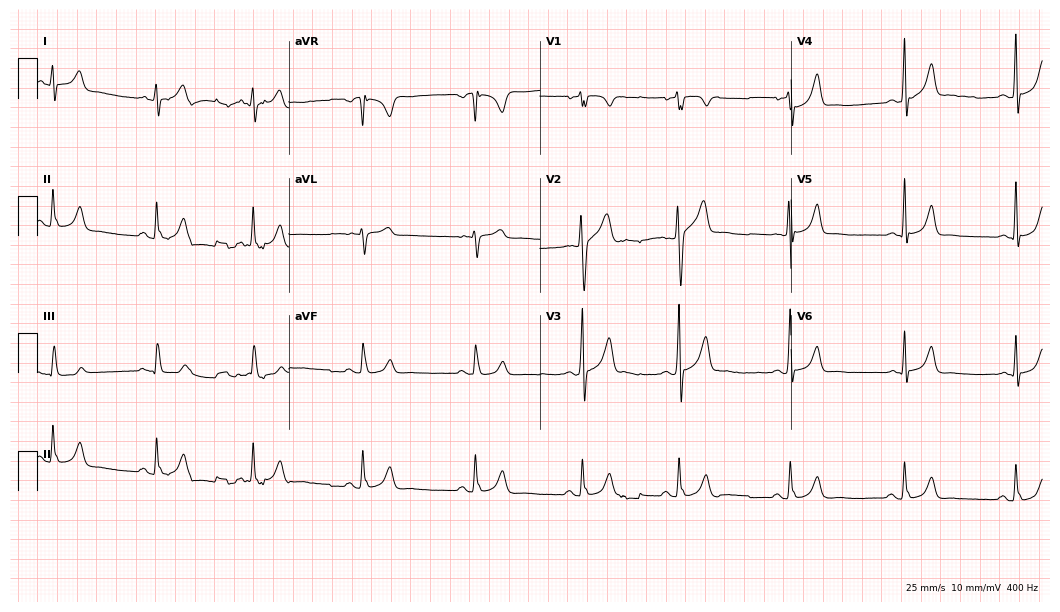
ECG — a 24-year-old male. Screened for six findings — first-degree AV block, right bundle branch block (RBBB), left bundle branch block (LBBB), sinus bradycardia, atrial fibrillation (AF), sinus tachycardia — none is recorded.